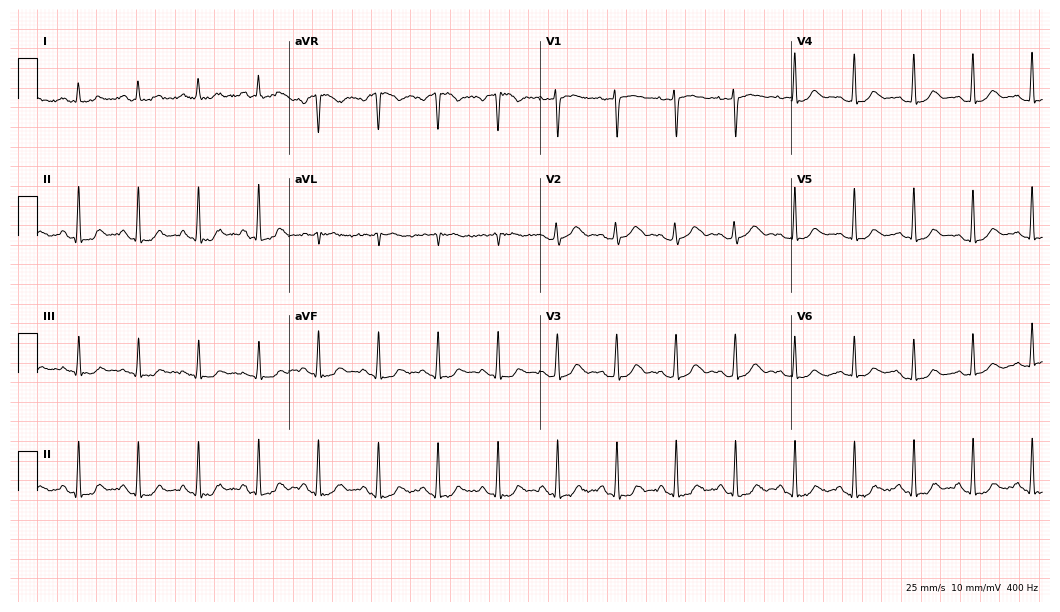
ECG — a 41-year-old female. Screened for six findings — first-degree AV block, right bundle branch block, left bundle branch block, sinus bradycardia, atrial fibrillation, sinus tachycardia — none is recorded. Other findings, if any, are not listed.